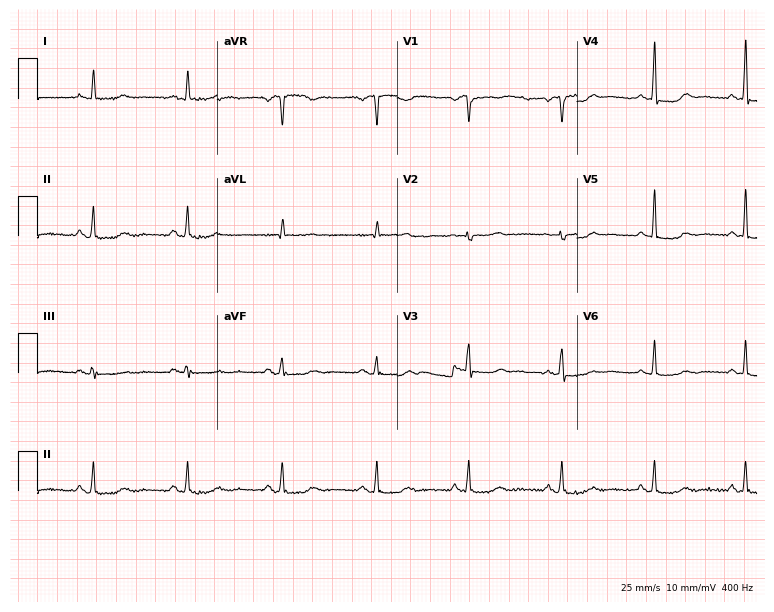
Resting 12-lead electrocardiogram (7.3-second recording at 400 Hz). Patient: a 60-year-old female. None of these six findings is recorded: first-degree AV block, right bundle branch block, left bundle branch block, sinus bradycardia, atrial fibrillation, sinus tachycardia.